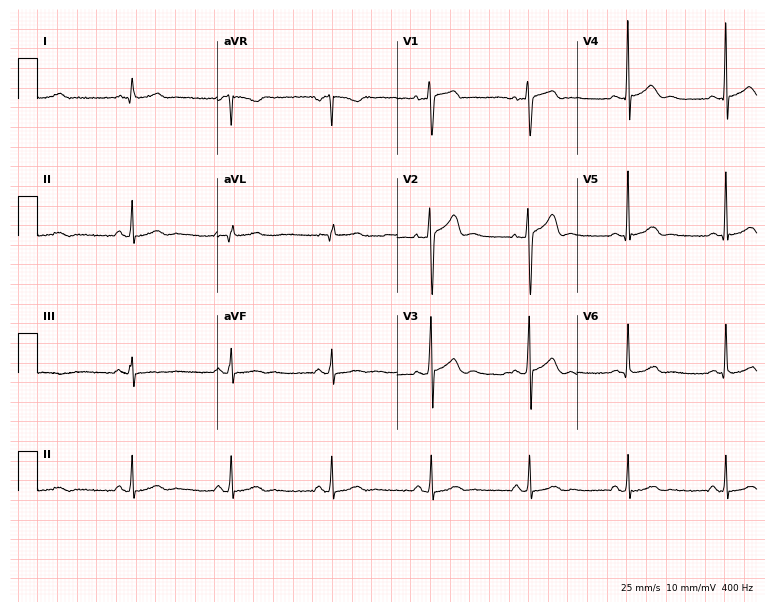
Electrocardiogram (7.3-second recording at 400 Hz), a 45-year-old male patient. Of the six screened findings (first-degree AV block, right bundle branch block, left bundle branch block, sinus bradycardia, atrial fibrillation, sinus tachycardia), none is recorded. Other findings, if any, are not listed.